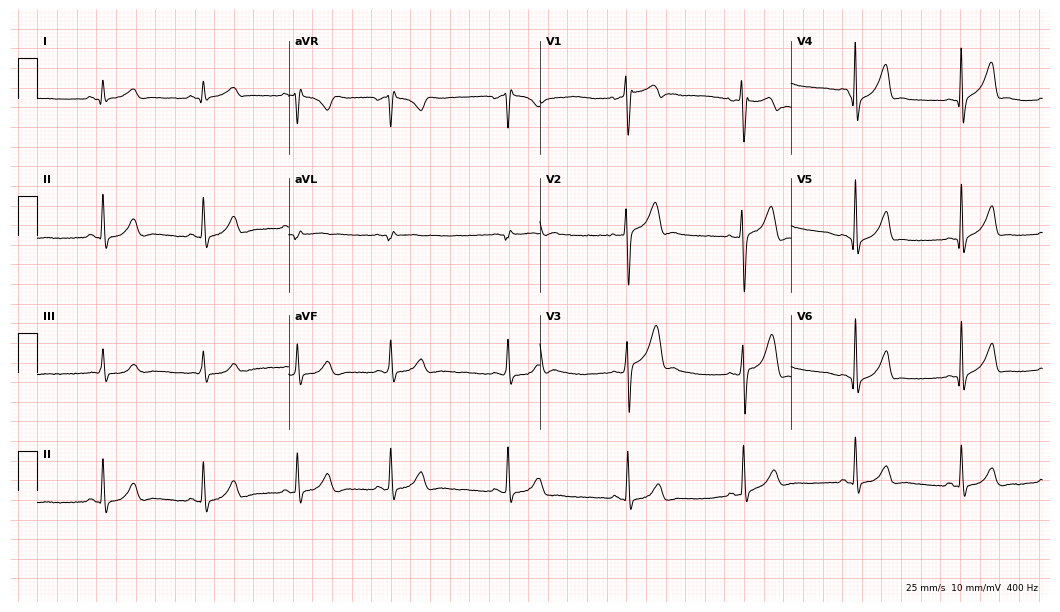
Resting 12-lead electrocardiogram (10.2-second recording at 400 Hz). Patient: a man, 21 years old. Read as a normal ECG.